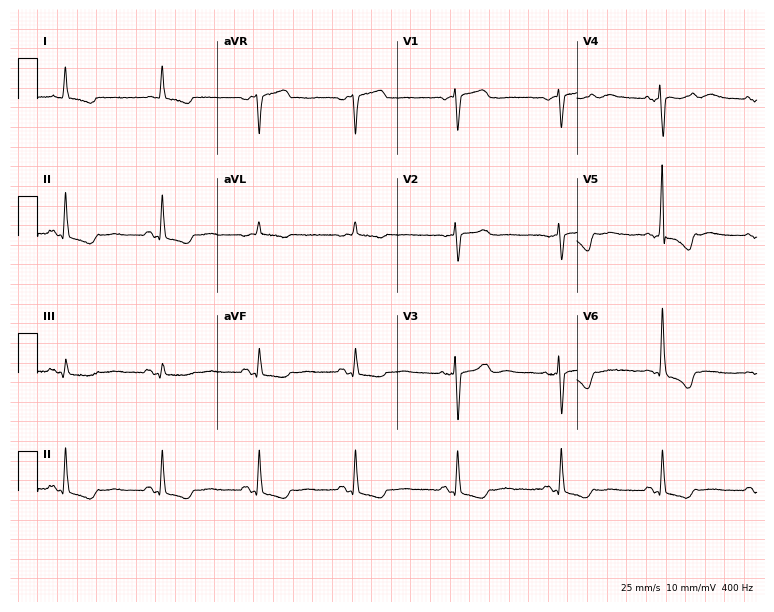
Resting 12-lead electrocardiogram. Patient: a woman, 75 years old. None of these six findings is recorded: first-degree AV block, right bundle branch block, left bundle branch block, sinus bradycardia, atrial fibrillation, sinus tachycardia.